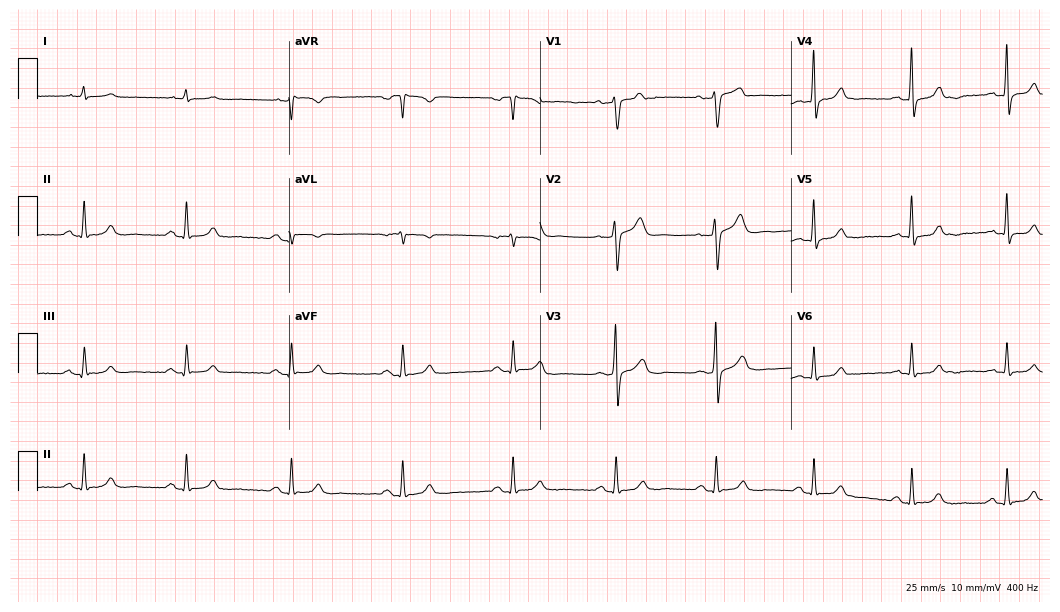
Standard 12-lead ECG recorded from a 38-year-old male. Read as a normal ECG.